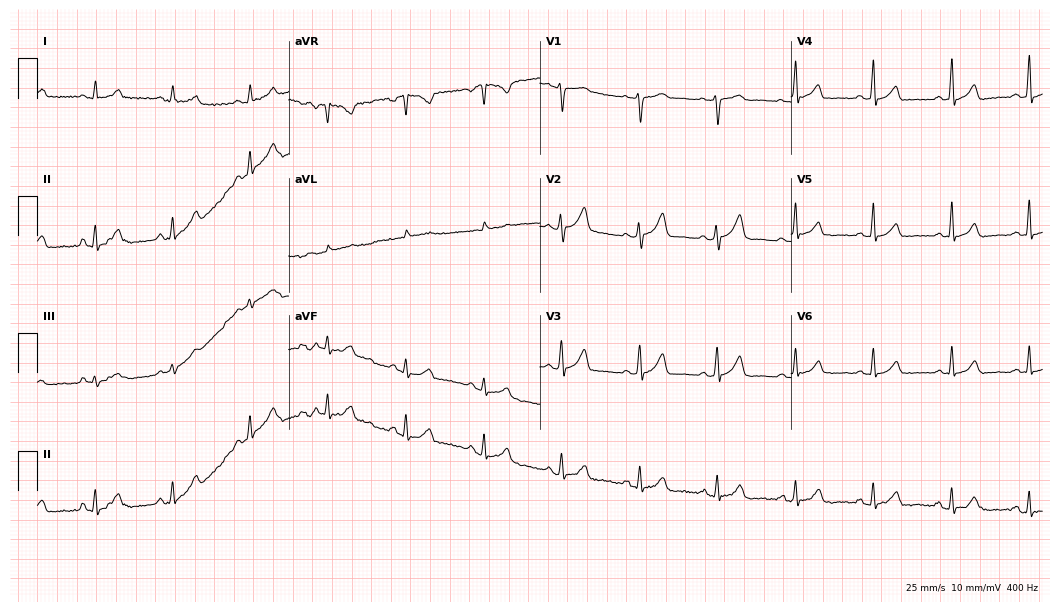
Resting 12-lead electrocardiogram (10.2-second recording at 400 Hz). Patient: a female, 59 years old. Read as a normal ECG.